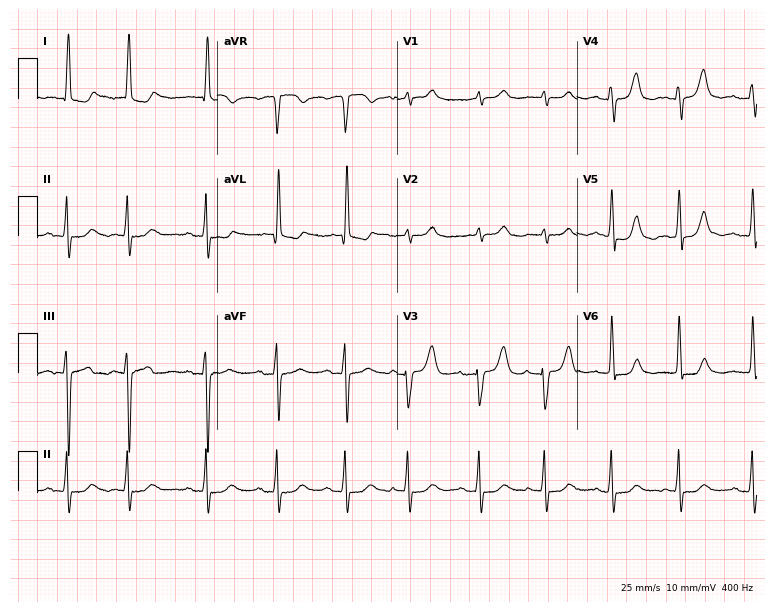
Standard 12-lead ECG recorded from a female, 84 years old. None of these six findings is recorded: first-degree AV block, right bundle branch block (RBBB), left bundle branch block (LBBB), sinus bradycardia, atrial fibrillation (AF), sinus tachycardia.